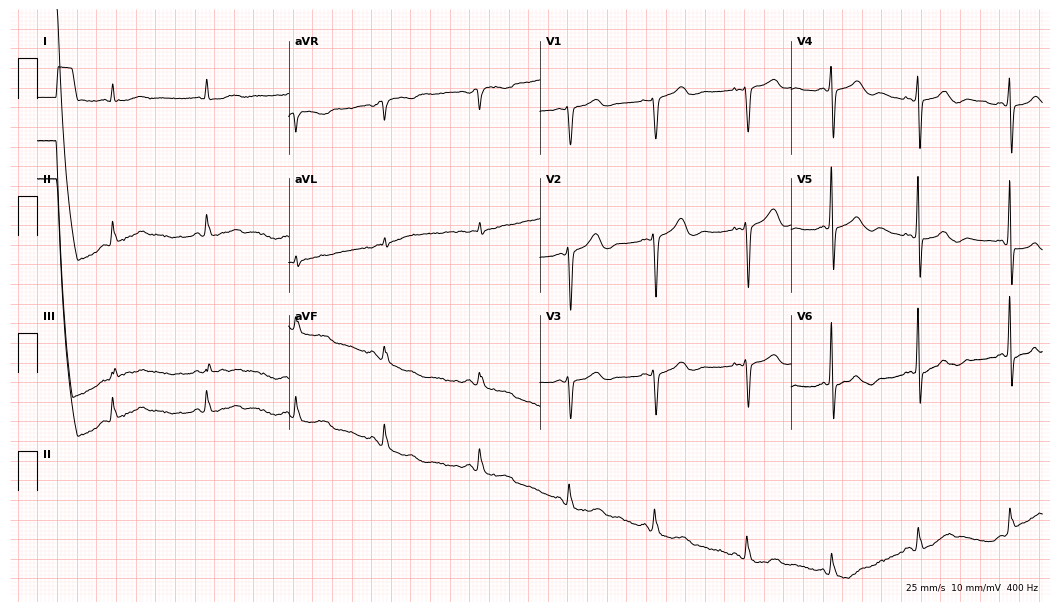
Electrocardiogram, a female, 78 years old. Of the six screened findings (first-degree AV block, right bundle branch block, left bundle branch block, sinus bradycardia, atrial fibrillation, sinus tachycardia), none is recorded.